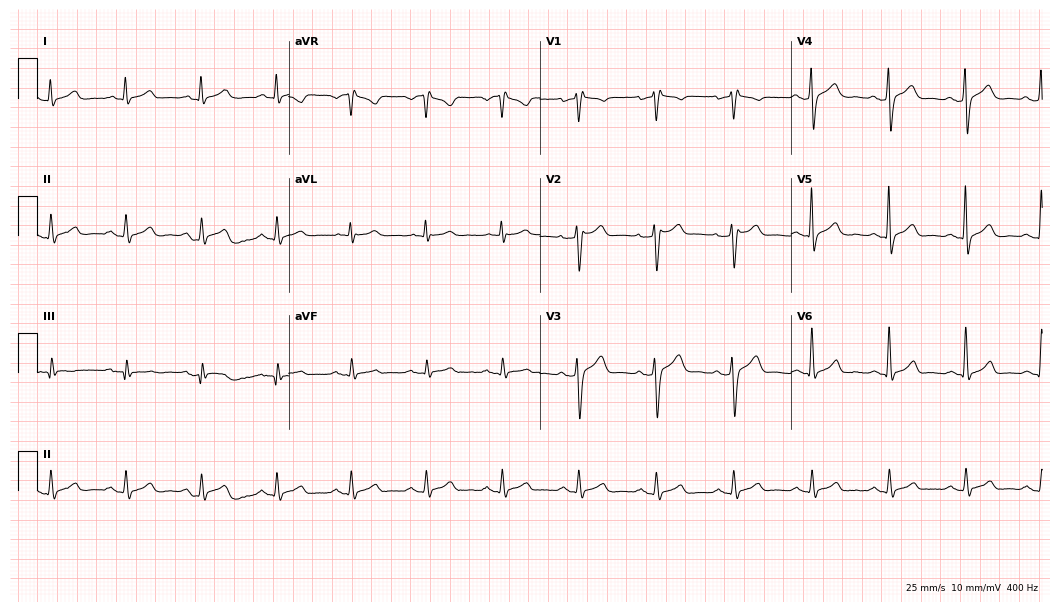
Electrocardiogram, a male, 44 years old. Overall reading on record: normal ECG.